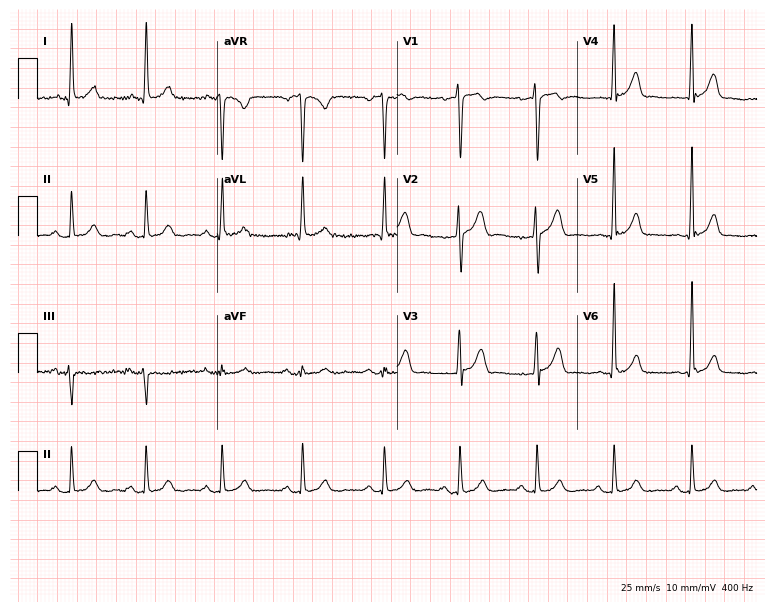
12-lead ECG from a male patient, 29 years old. Screened for six findings — first-degree AV block, right bundle branch block, left bundle branch block, sinus bradycardia, atrial fibrillation, sinus tachycardia — none is recorded.